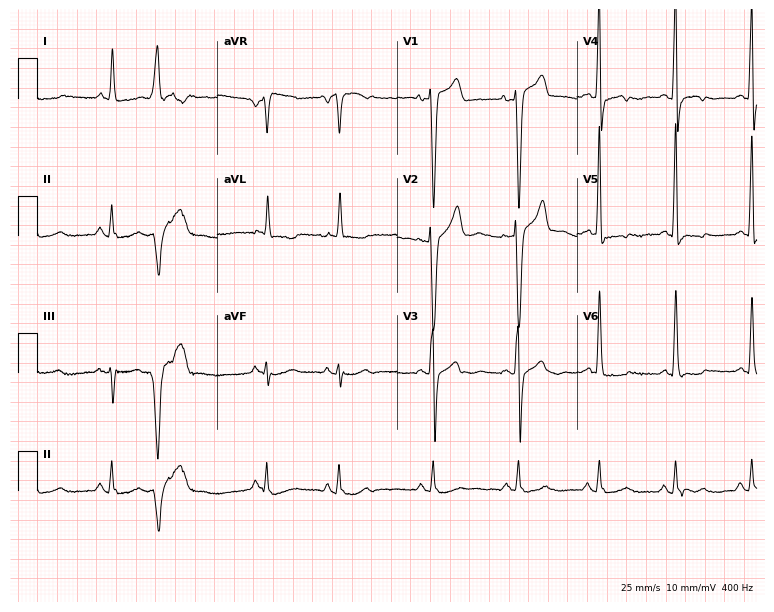
12-lead ECG from a man, 47 years old (7.3-second recording at 400 Hz). No first-degree AV block, right bundle branch block, left bundle branch block, sinus bradycardia, atrial fibrillation or sinus tachycardia recorded for this tracing.